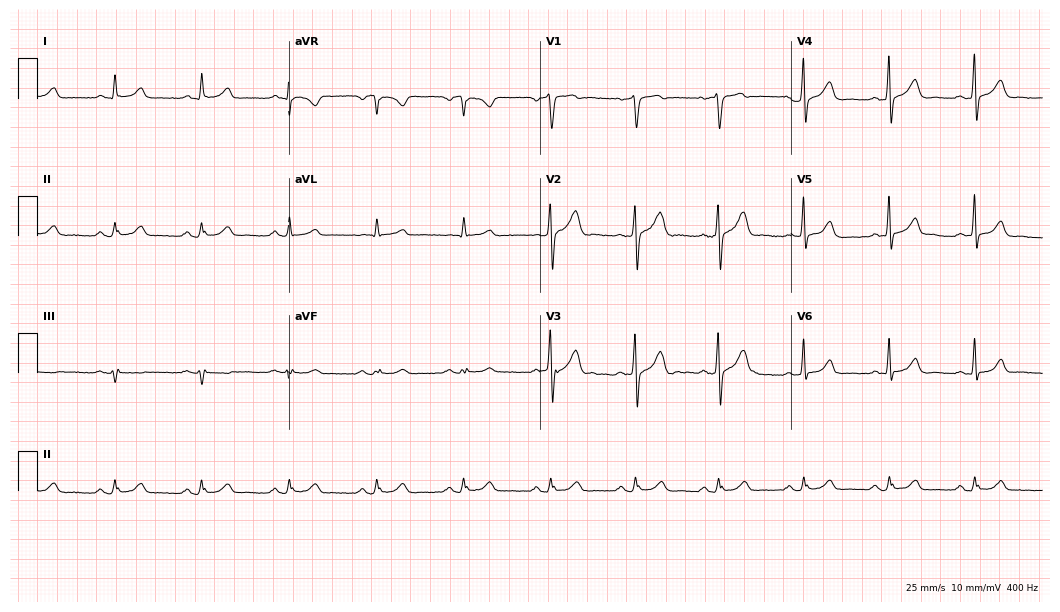
ECG (10.2-second recording at 400 Hz) — a male patient, 41 years old. Labelled as a normal ECG.